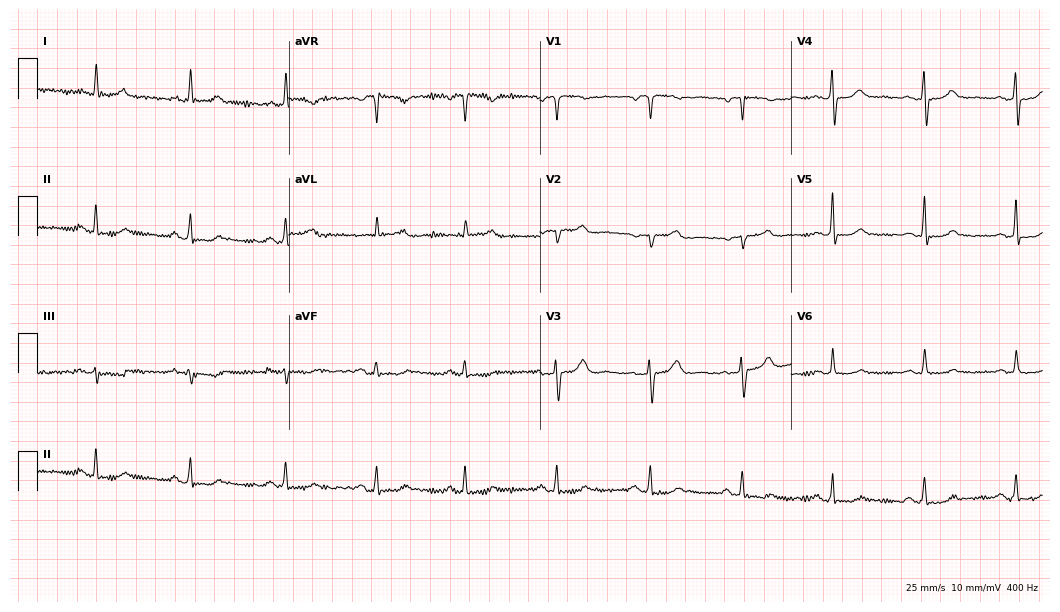
Electrocardiogram, a 66-year-old woman. Overall reading on record: normal ECG.